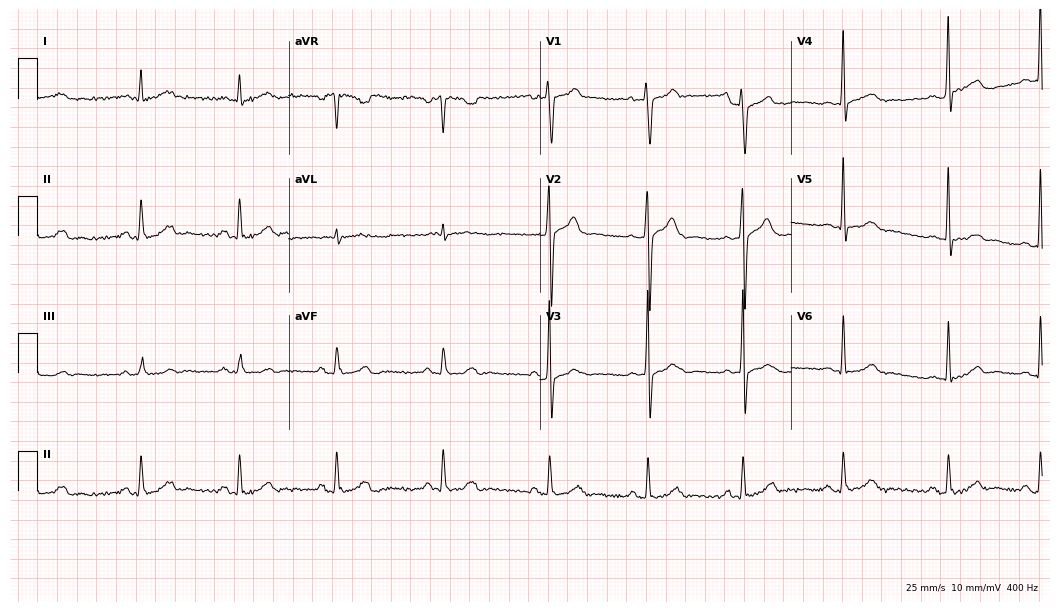
Resting 12-lead electrocardiogram (10.2-second recording at 400 Hz). Patient: a man, 43 years old. None of these six findings is recorded: first-degree AV block, right bundle branch block (RBBB), left bundle branch block (LBBB), sinus bradycardia, atrial fibrillation (AF), sinus tachycardia.